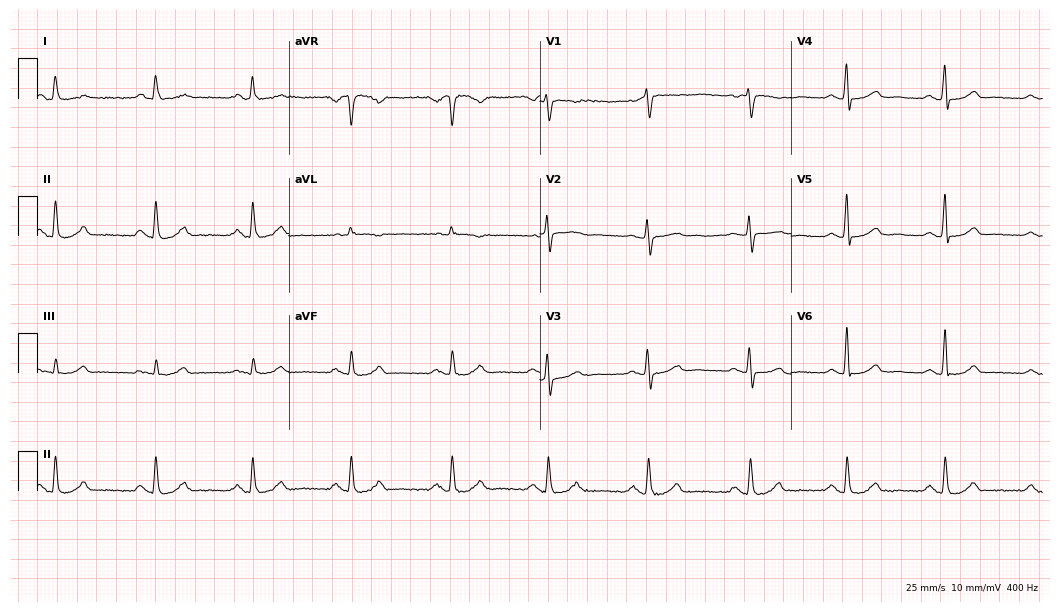
12-lead ECG from a female patient, 64 years old. Recorded interpretation: within normal limits.